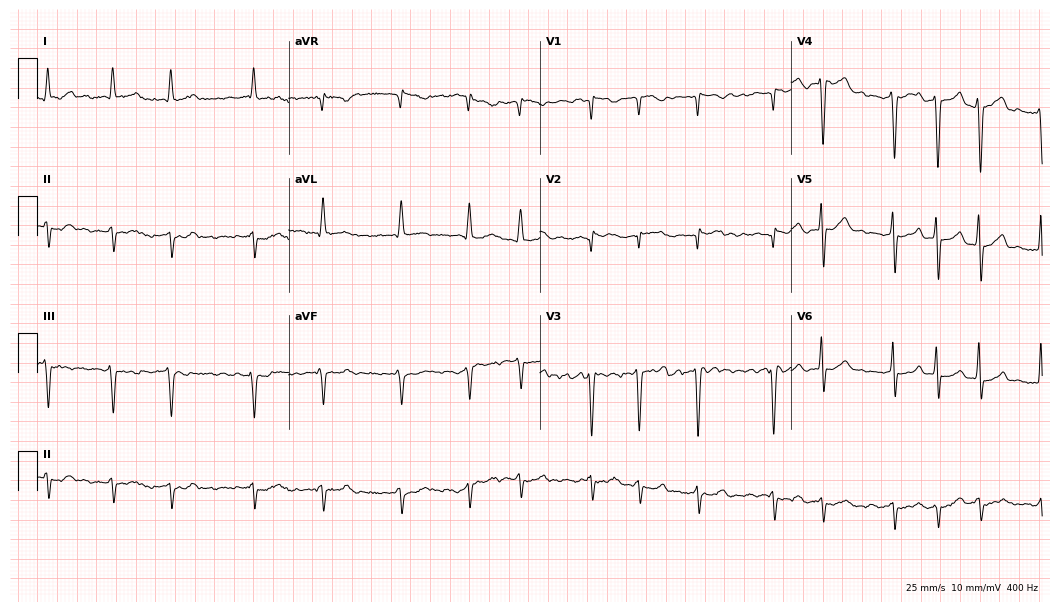
12-lead ECG from a man, 71 years old. Findings include atrial fibrillation.